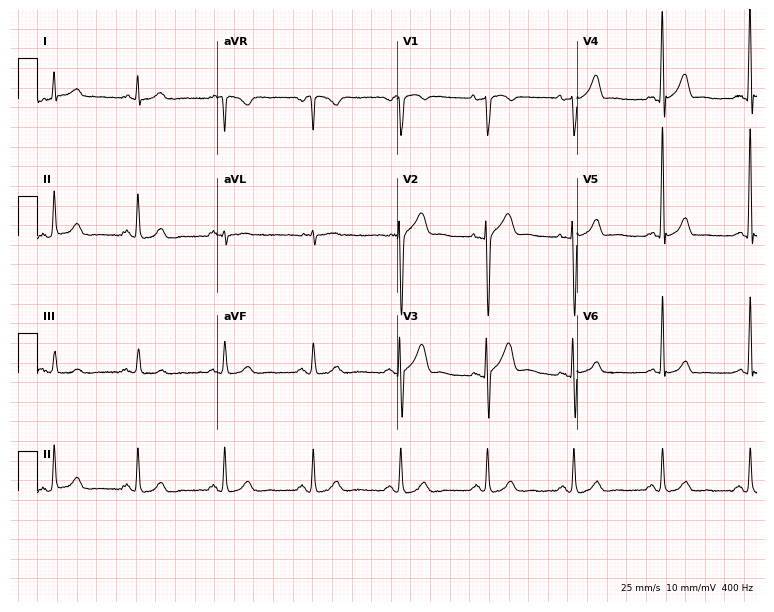
Resting 12-lead electrocardiogram (7.3-second recording at 400 Hz). Patient: a 55-year-old man. None of these six findings is recorded: first-degree AV block, right bundle branch block, left bundle branch block, sinus bradycardia, atrial fibrillation, sinus tachycardia. Only these six findings were labelled.